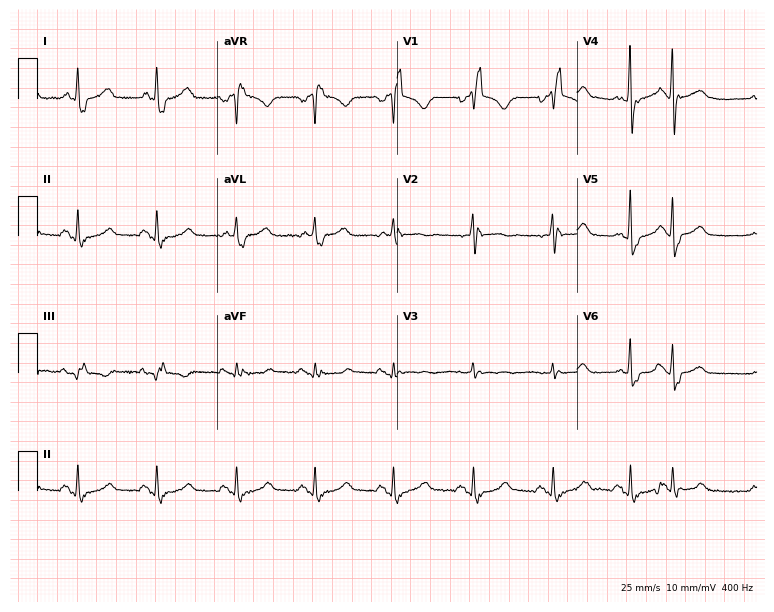
Resting 12-lead electrocardiogram (7.3-second recording at 400 Hz). Patient: an 80-year-old female. The tracing shows right bundle branch block.